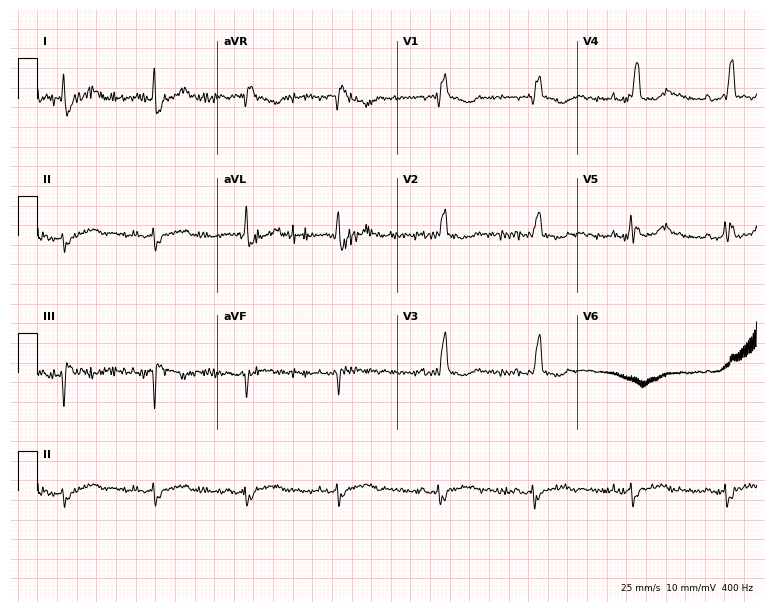
Electrocardiogram (7.3-second recording at 400 Hz), a 65-year-old female patient. Of the six screened findings (first-degree AV block, right bundle branch block (RBBB), left bundle branch block (LBBB), sinus bradycardia, atrial fibrillation (AF), sinus tachycardia), none is recorded.